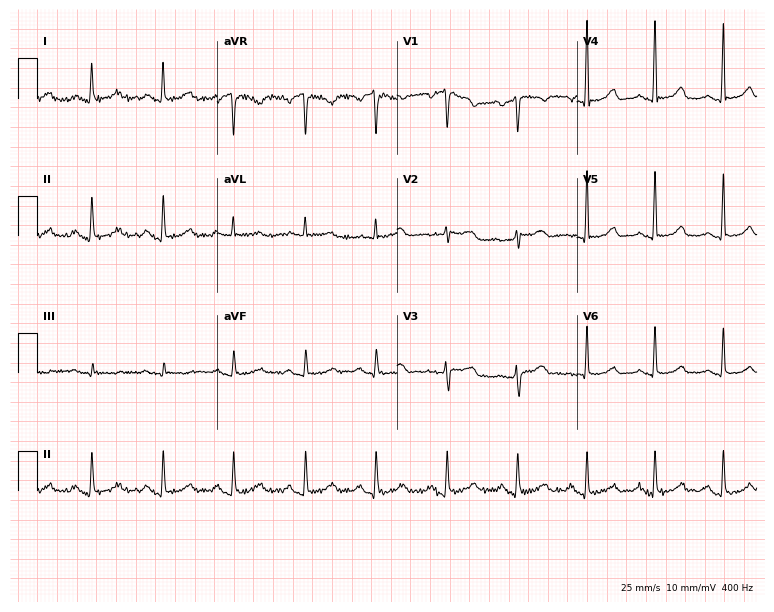
ECG (7.3-second recording at 400 Hz) — a woman, 55 years old. Screened for six findings — first-degree AV block, right bundle branch block (RBBB), left bundle branch block (LBBB), sinus bradycardia, atrial fibrillation (AF), sinus tachycardia — none is recorded.